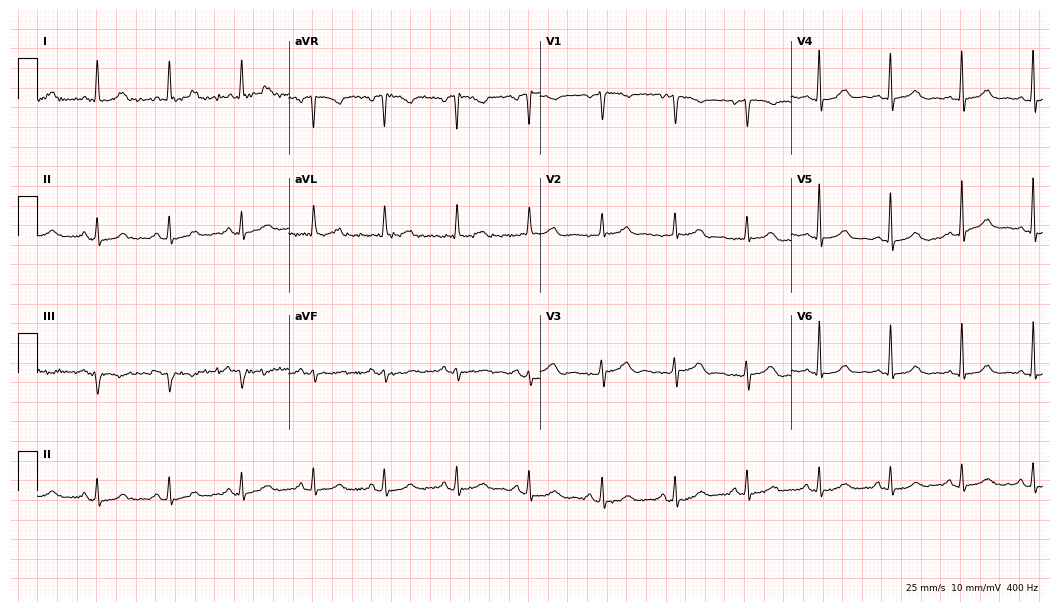
Electrocardiogram (10.2-second recording at 400 Hz), a woman, 50 years old. Overall reading on record: normal ECG.